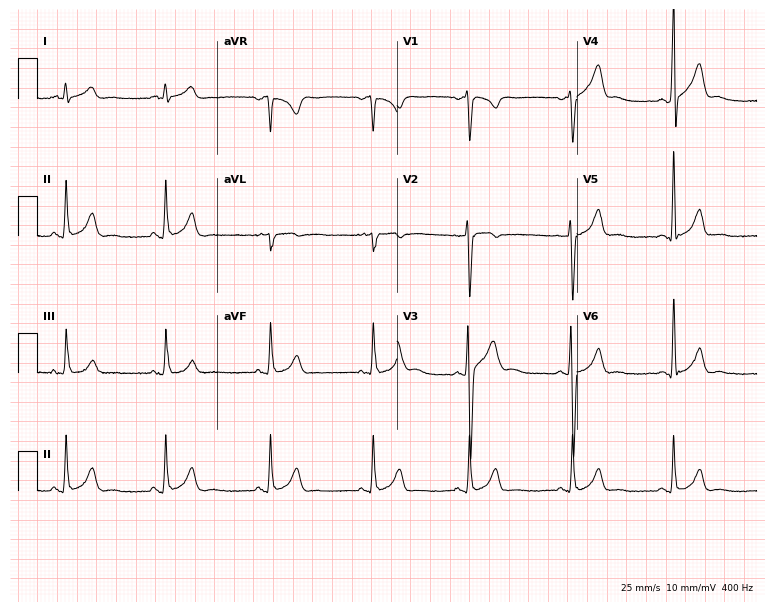
12-lead ECG from a male, 18 years old (7.3-second recording at 400 Hz). No first-degree AV block, right bundle branch block, left bundle branch block, sinus bradycardia, atrial fibrillation or sinus tachycardia recorded for this tracing. Only these six findings were labelled.